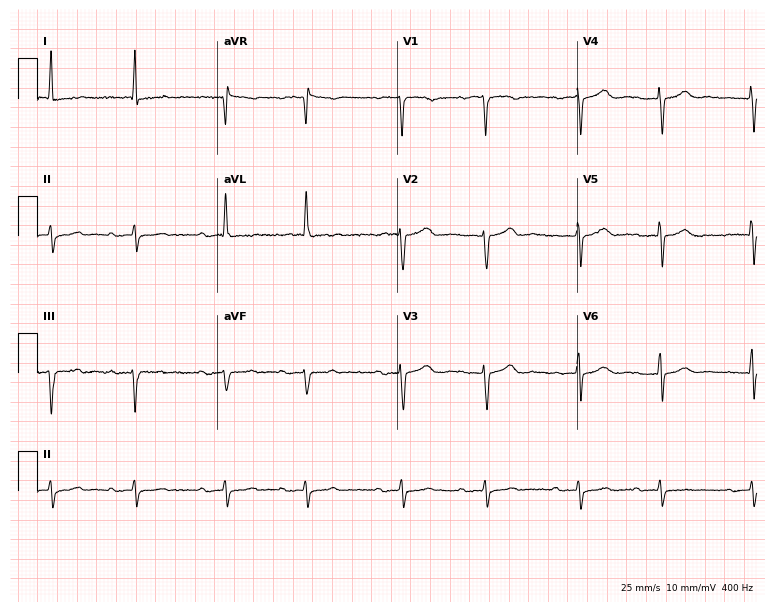
12-lead ECG from an 86-year-old woman. Screened for six findings — first-degree AV block, right bundle branch block, left bundle branch block, sinus bradycardia, atrial fibrillation, sinus tachycardia — none is recorded. Other findings, if any, are not listed.